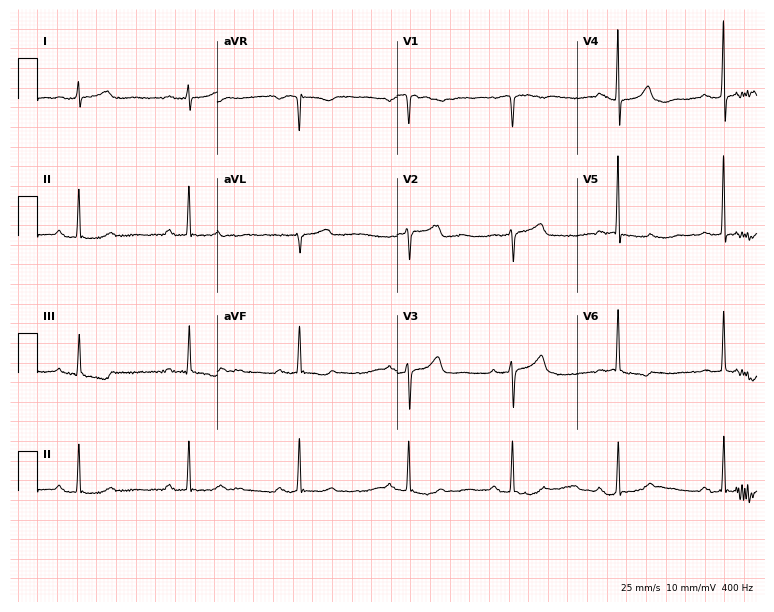
12-lead ECG from a female patient, 75 years old (7.3-second recording at 400 Hz). Shows first-degree AV block.